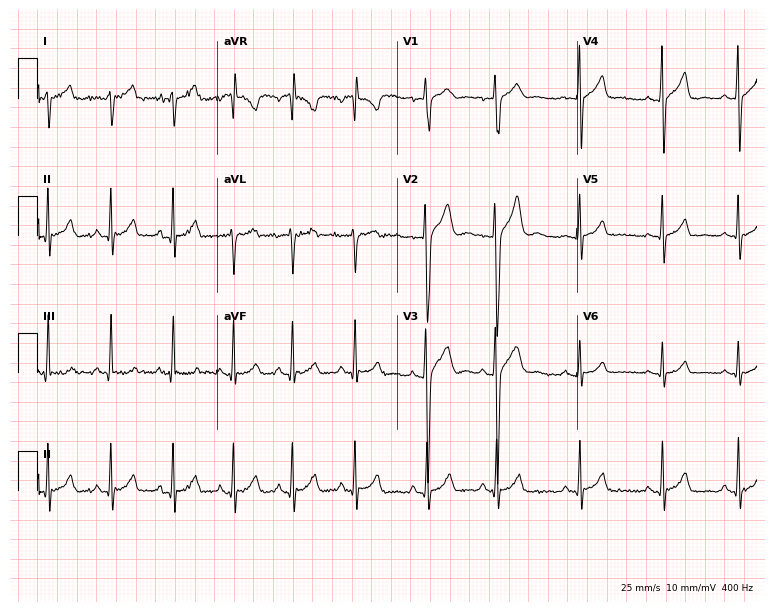
ECG (7.3-second recording at 400 Hz) — a 17-year-old male. Labelled as a normal ECG.